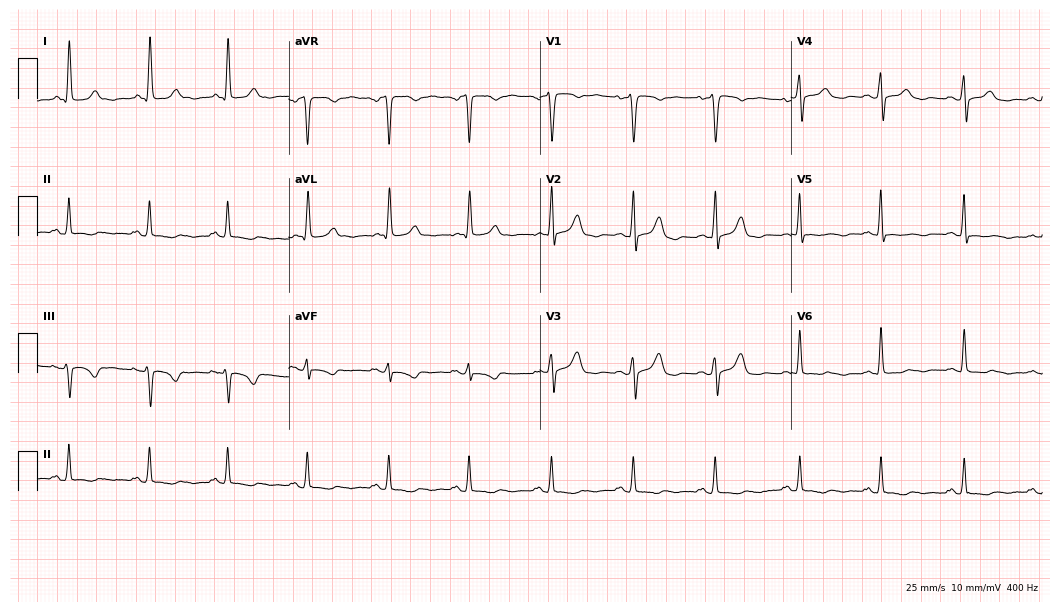
Standard 12-lead ECG recorded from a 64-year-old woman (10.2-second recording at 400 Hz). None of these six findings is recorded: first-degree AV block, right bundle branch block, left bundle branch block, sinus bradycardia, atrial fibrillation, sinus tachycardia. Other findings, if any, are not listed.